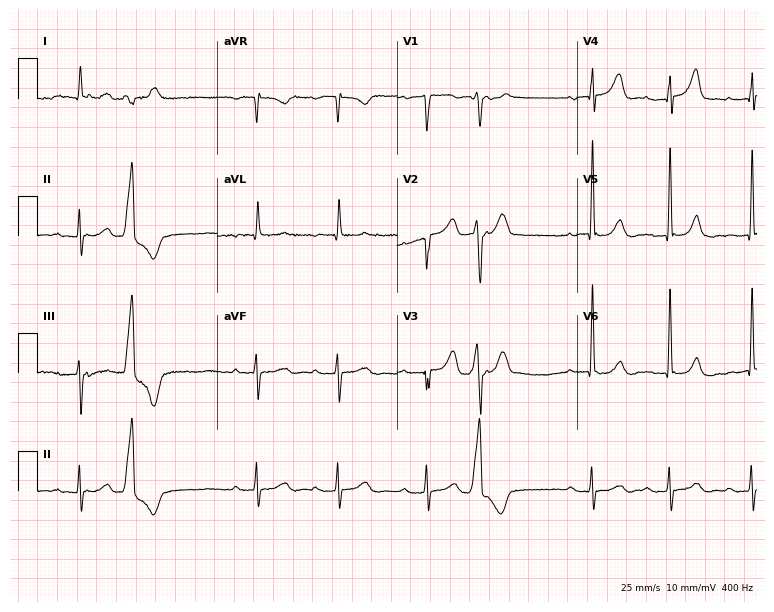
Resting 12-lead electrocardiogram. Patient: an 84-year-old man. The tracing shows first-degree AV block.